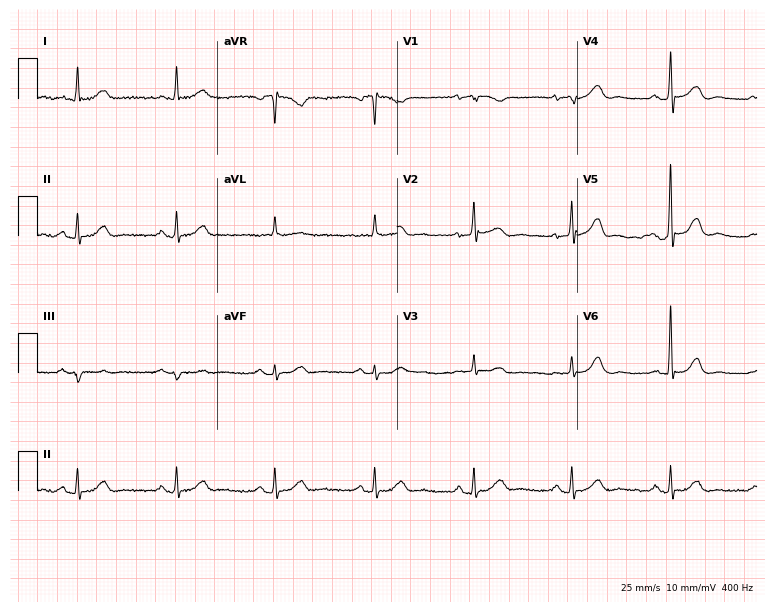
ECG — a male, 83 years old. Screened for six findings — first-degree AV block, right bundle branch block, left bundle branch block, sinus bradycardia, atrial fibrillation, sinus tachycardia — none is recorded.